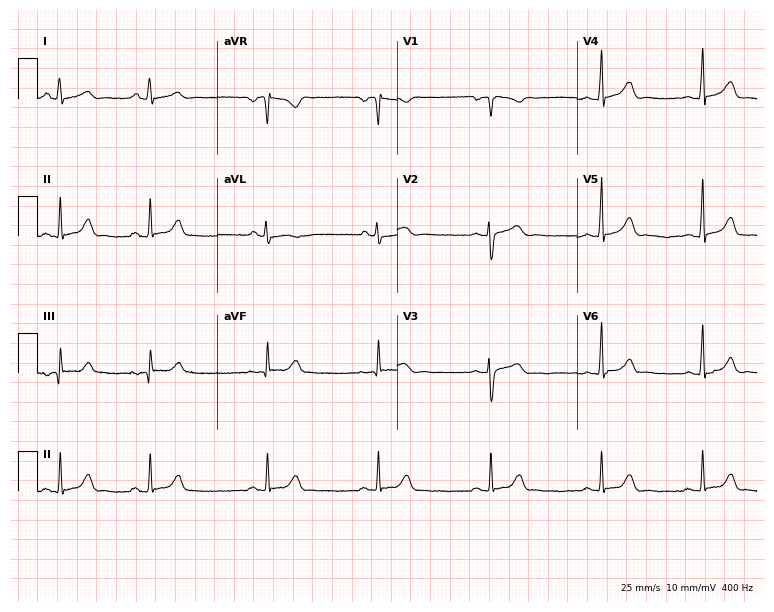
Standard 12-lead ECG recorded from a female patient, 32 years old. Read as a normal ECG.